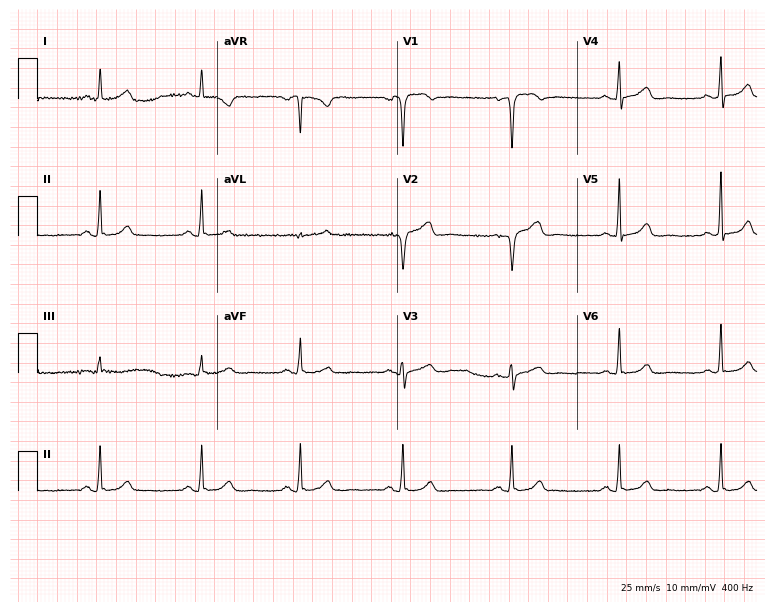
Electrocardiogram, a female, 50 years old. Overall reading on record: normal ECG.